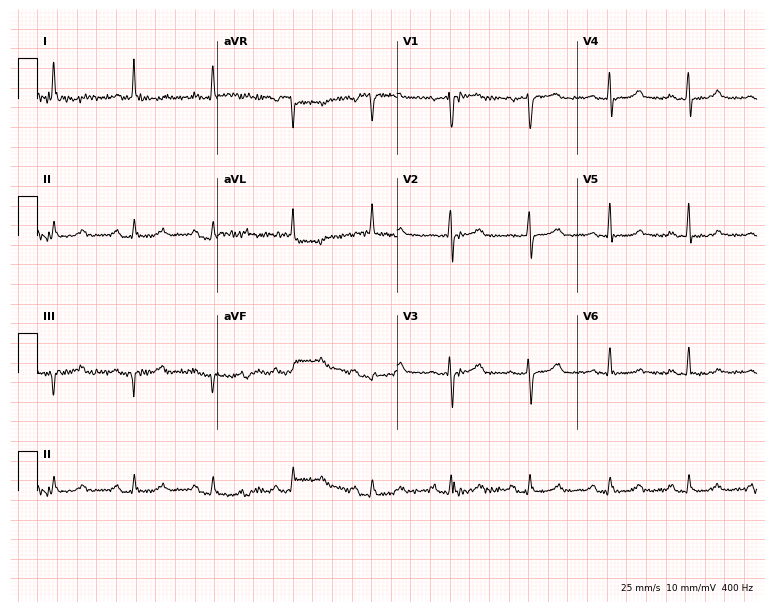
12-lead ECG from a female, 73 years old. No first-degree AV block, right bundle branch block (RBBB), left bundle branch block (LBBB), sinus bradycardia, atrial fibrillation (AF) or sinus tachycardia recorded for this tracing.